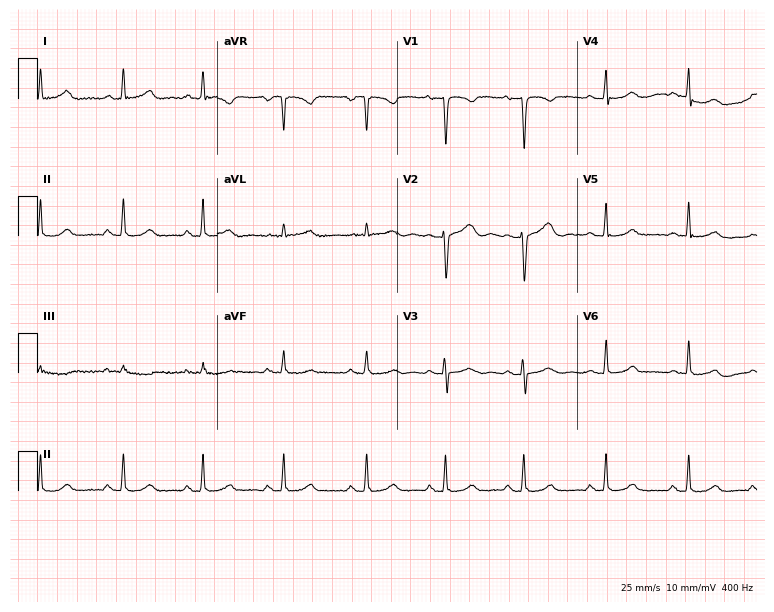
Resting 12-lead electrocardiogram. Patient: a 35-year-old female. Read as a normal ECG.